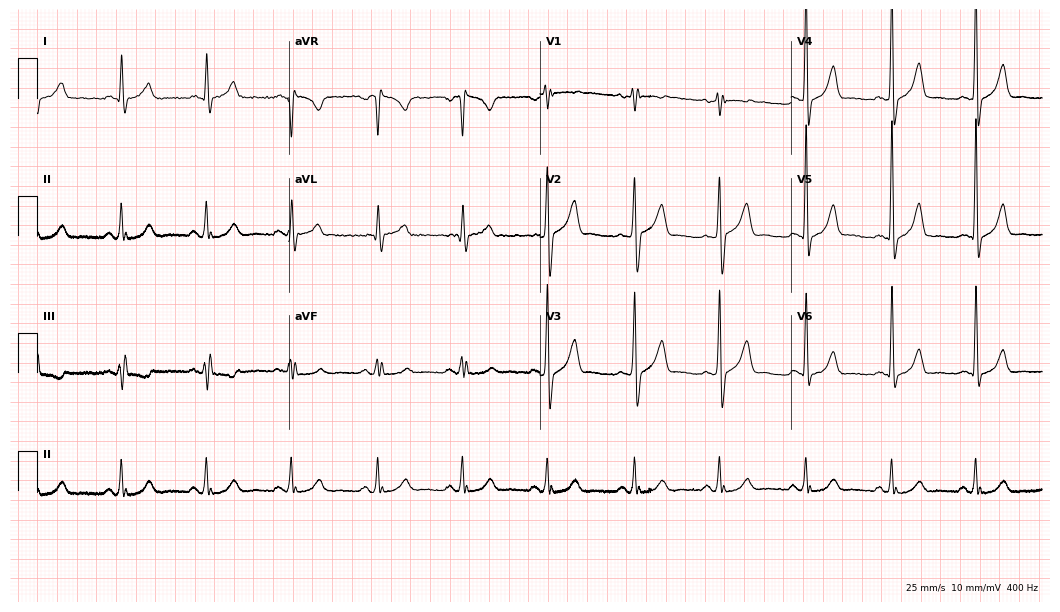
Electrocardiogram (10.2-second recording at 400 Hz), a 46-year-old male patient. Of the six screened findings (first-degree AV block, right bundle branch block, left bundle branch block, sinus bradycardia, atrial fibrillation, sinus tachycardia), none is recorded.